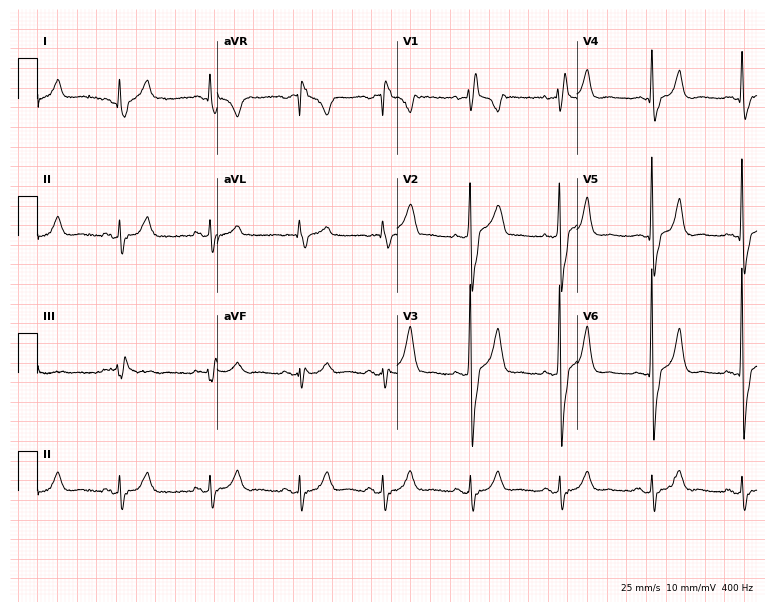
ECG (7.3-second recording at 400 Hz) — a male patient, 73 years old. Findings include right bundle branch block.